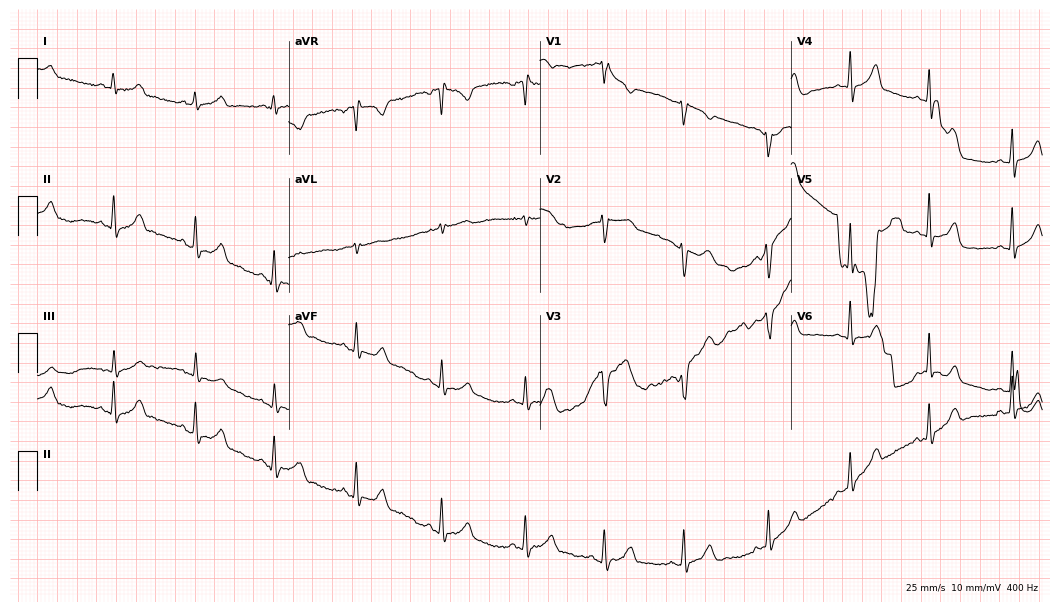
Resting 12-lead electrocardiogram (10.2-second recording at 400 Hz). Patient: a 33-year-old woman. Read as a normal ECG.